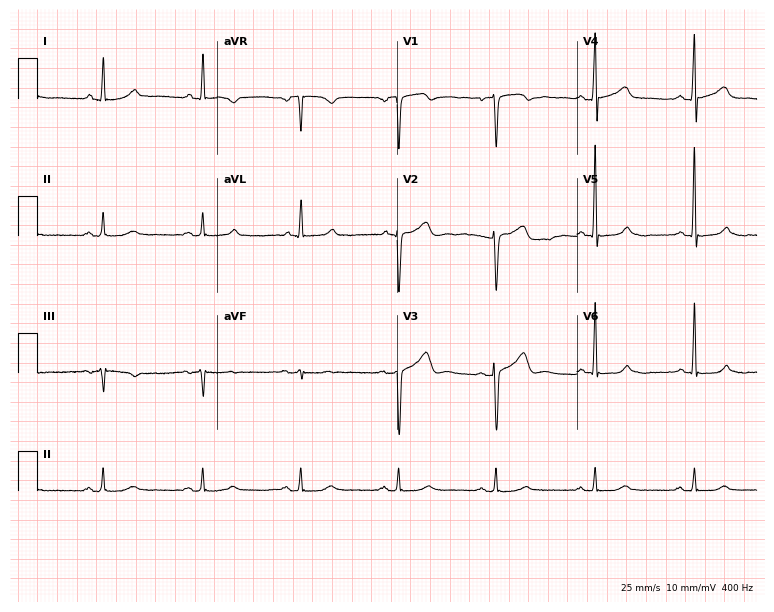
Electrocardiogram (7.3-second recording at 400 Hz), a 60-year-old man. Of the six screened findings (first-degree AV block, right bundle branch block, left bundle branch block, sinus bradycardia, atrial fibrillation, sinus tachycardia), none is recorded. Other findings, if any, are not listed.